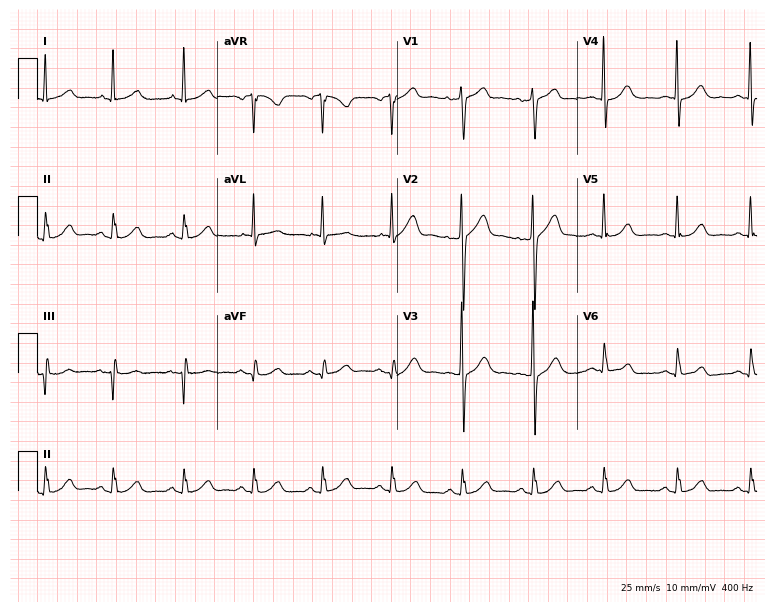
12-lead ECG (7.3-second recording at 400 Hz) from a male, 58 years old. Labelled as a normal ECG.